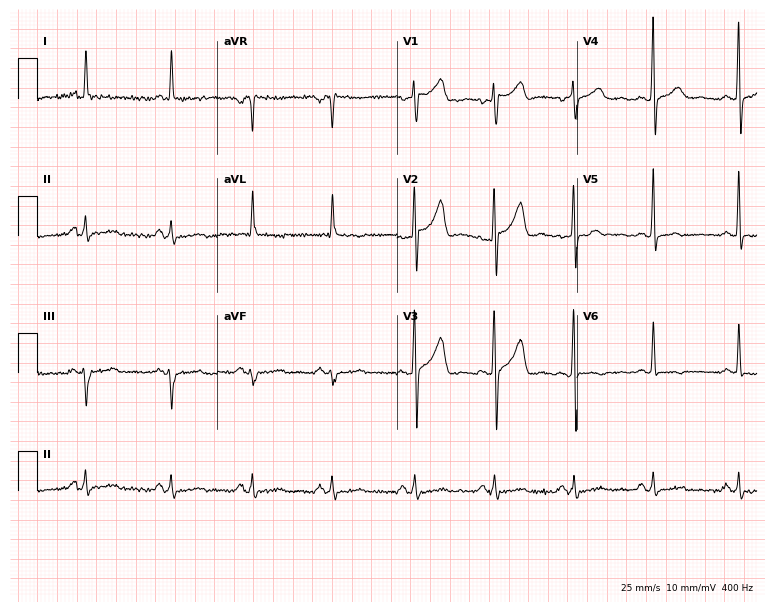
Resting 12-lead electrocardiogram. Patient: a male, 39 years old. None of these six findings is recorded: first-degree AV block, right bundle branch block (RBBB), left bundle branch block (LBBB), sinus bradycardia, atrial fibrillation (AF), sinus tachycardia.